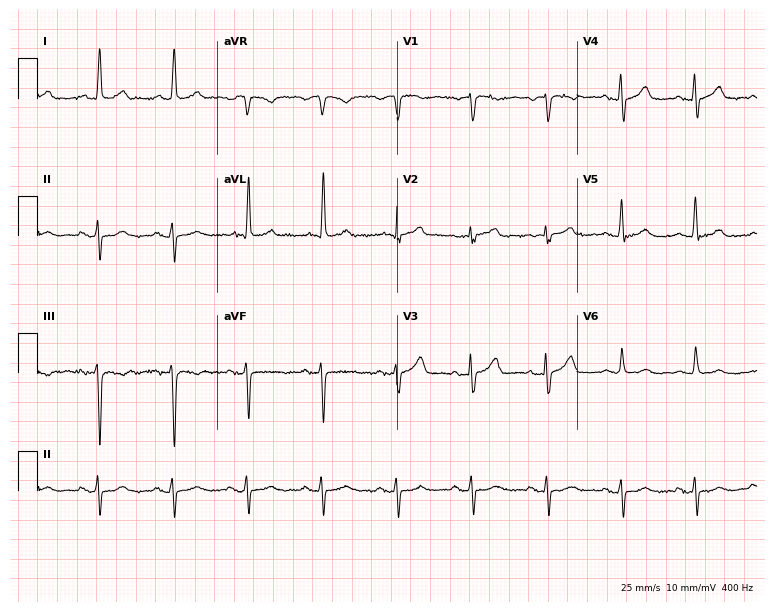
Resting 12-lead electrocardiogram (7.3-second recording at 400 Hz). Patient: a male, 85 years old. None of these six findings is recorded: first-degree AV block, right bundle branch block (RBBB), left bundle branch block (LBBB), sinus bradycardia, atrial fibrillation (AF), sinus tachycardia.